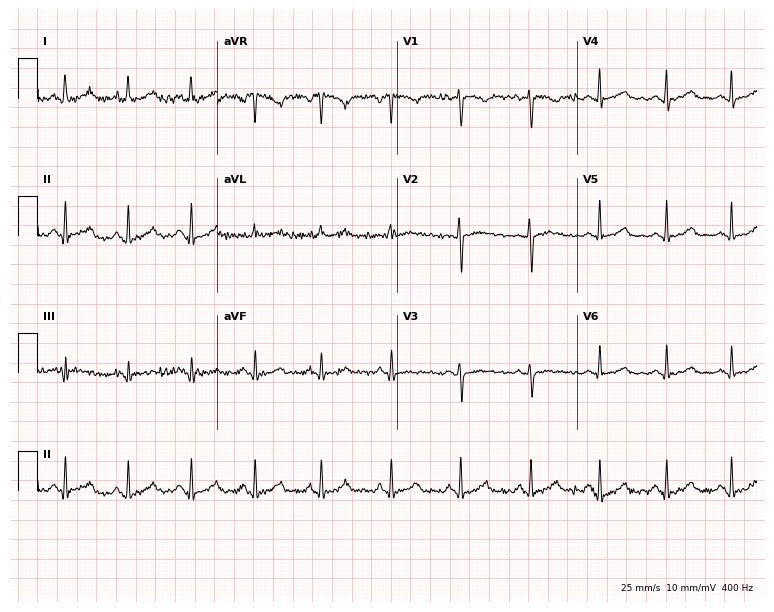
Resting 12-lead electrocardiogram (7.3-second recording at 400 Hz). Patient: a woman, 25 years old. Read as a normal ECG.